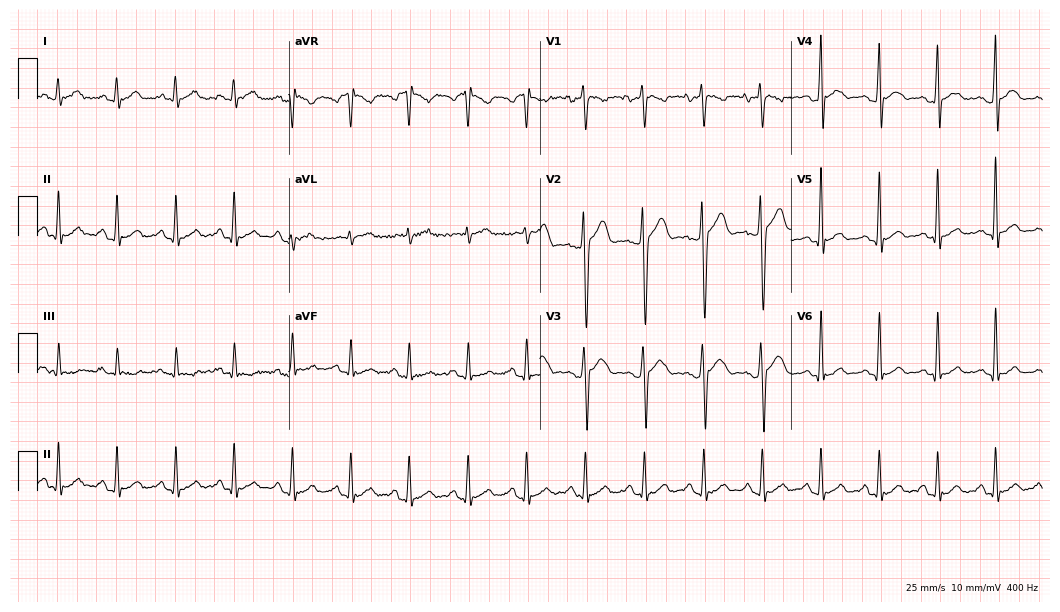
ECG — a male, 34 years old. Labelled as a normal ECG.